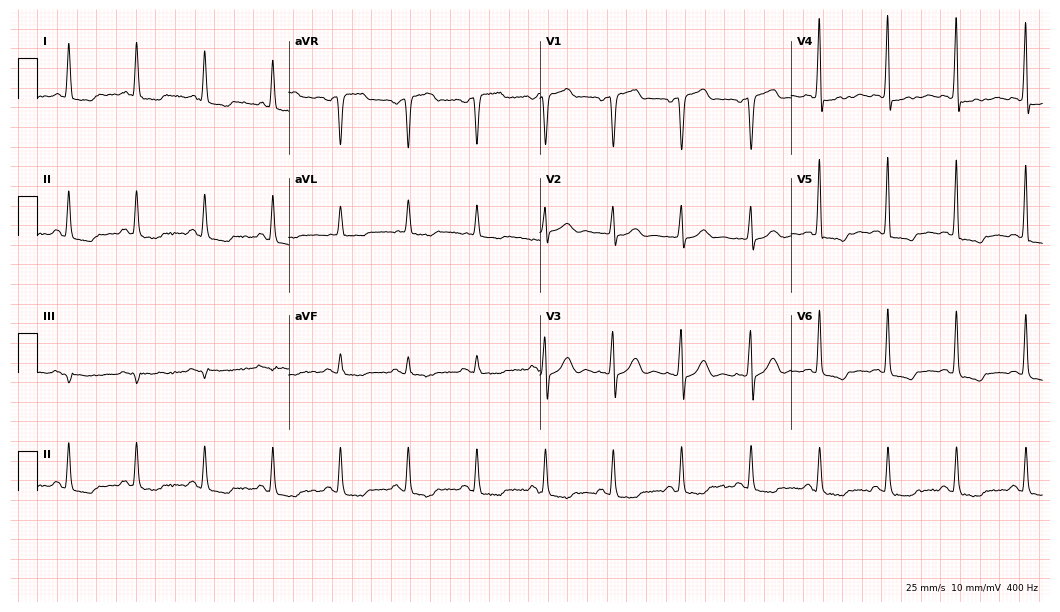
ECG — a 67-year-old man. Screened for six findings — first-degree AV block, right bundle branch block (RBBB), left bundle branch block (LBBB), sinus bradycardia, atrial fibrillation (AF), sinus tachycardia — none is recorded. Findings outside these six are not listed.